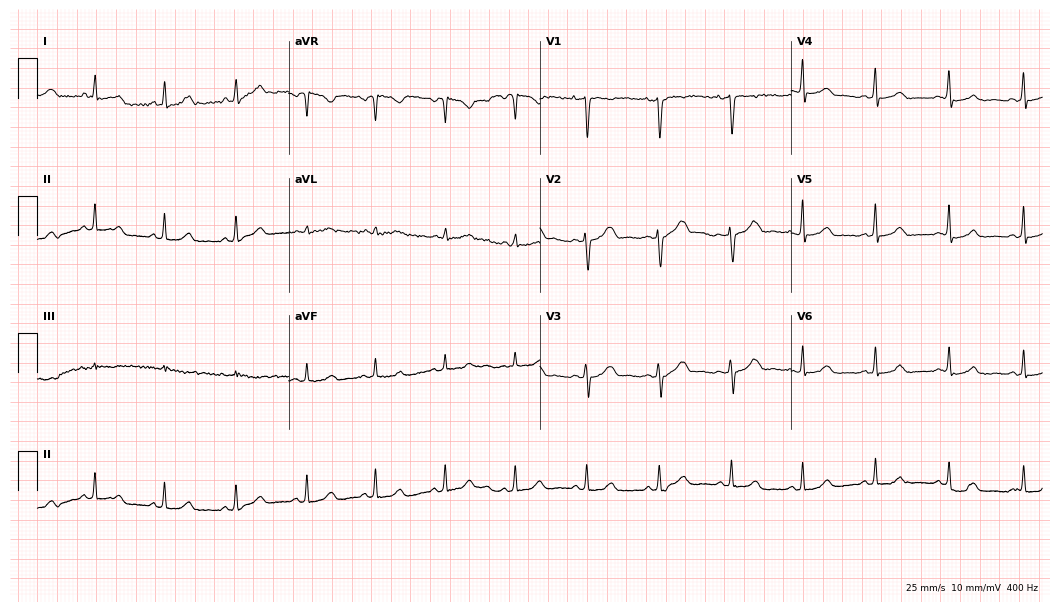
Resting 12-lead electrocardiogram. Patient: a 24-year-old woman. Read as a normal ECG.